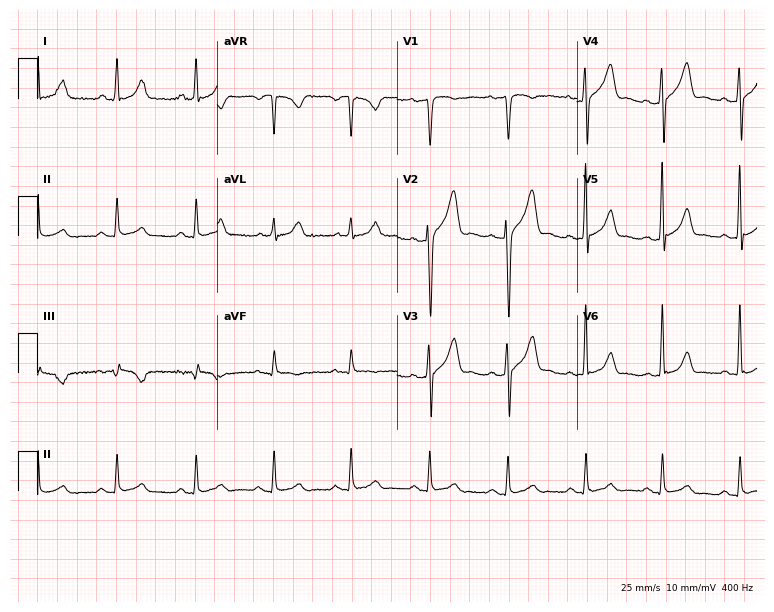
Electrocardiogram, a 40-year-old man. Of the six screened findings (first-degree AV block, right bundle branch block (RBBB), left bundle branch block (LBBB), sinus bradycardia, atrial fibrillation (AF), sinus tachycardia), none is recorded.